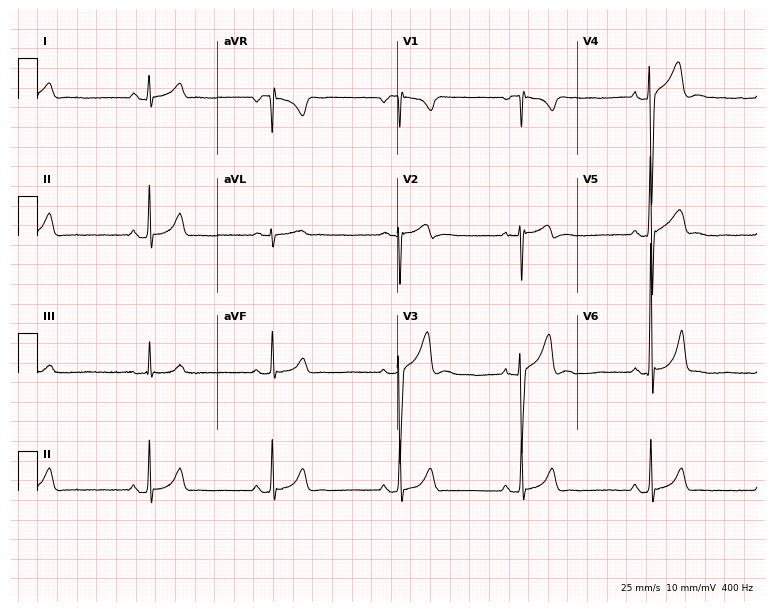
Standard 12-lead ECG recorded from a male, 17 years old (7.3-second recording at 400 Hz). The tracing shows sinus bradycardia (a sinus rate of 50 beats per minute or less).